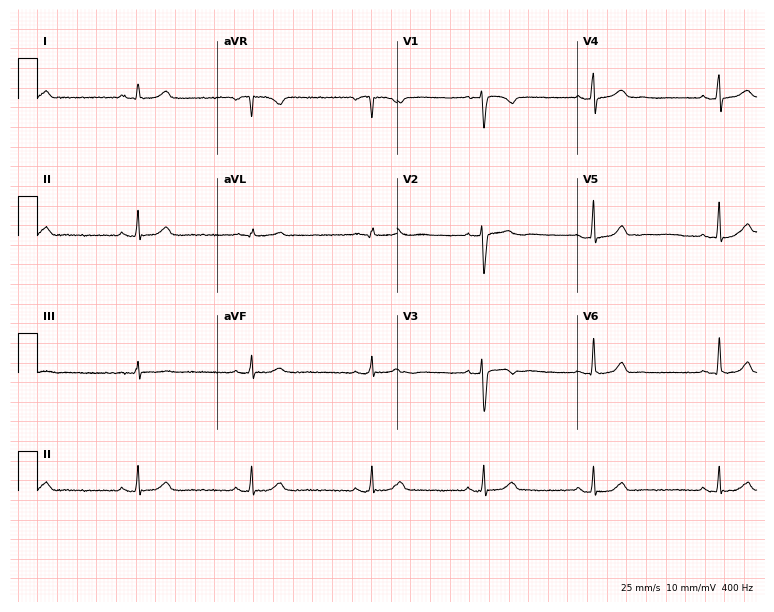
Electrocardiogram (7.3-second recording at 400 Hz), a woman, 25 years old. Interpretation includes sinus bradycardia (a sinus rate of 50 beats per minute or less).